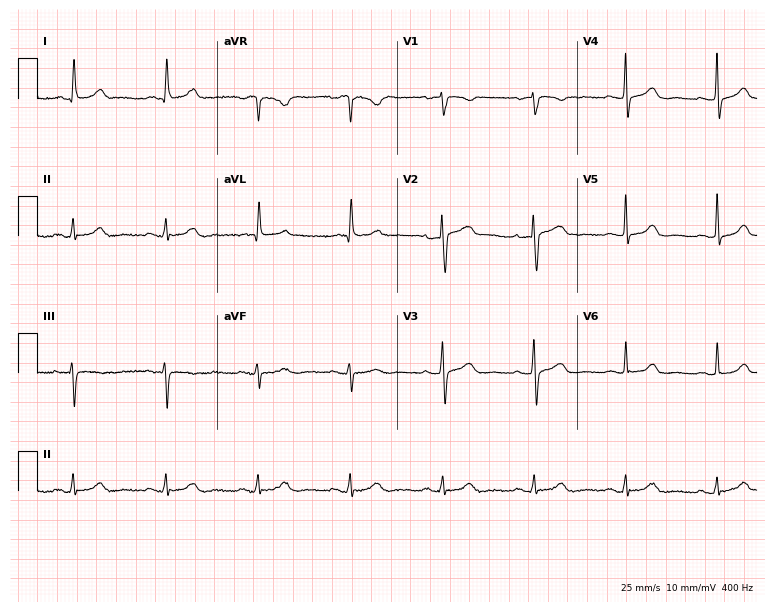
Standard 12-lead ECG recorded from a female patient, 69 years old. Read as a normal ECG.